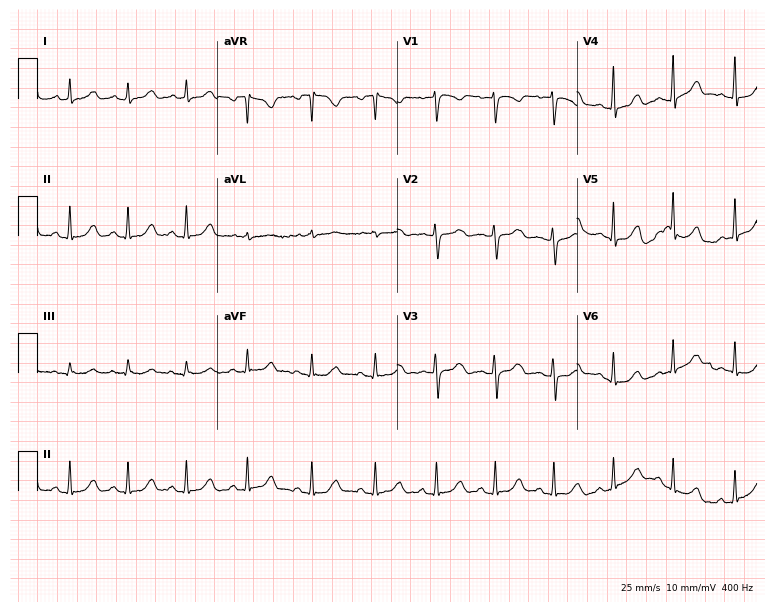
ECG — a 30-year-old female patient. Labelled as a normal ECG.